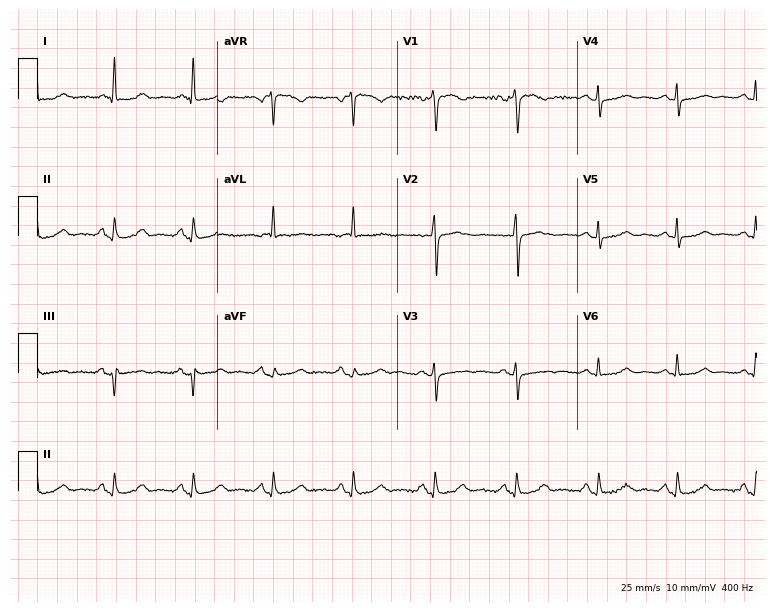
Standard 12-lead ECG recorded from a female patient, 73 years old. Read as a normal ECG.